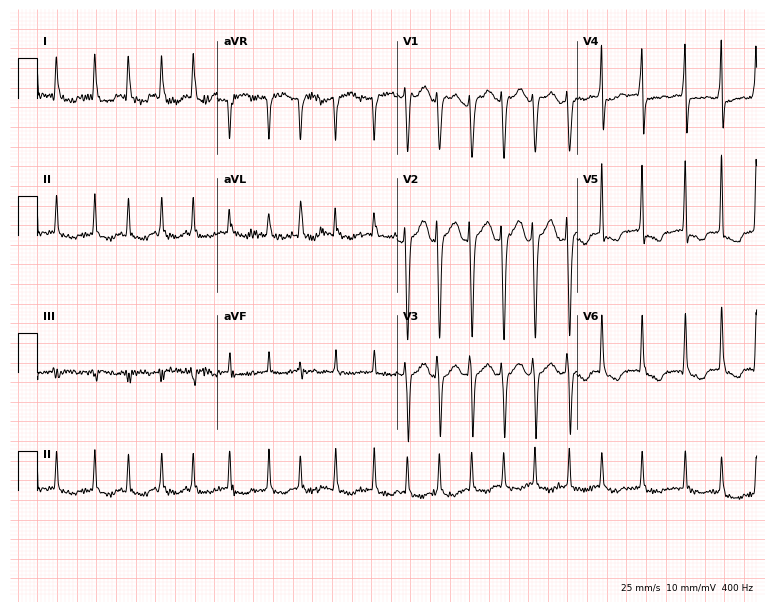
Resting 12-lead electrocardiogram (7.3-second recording at 400 Hz). Patient: a female, 80 years old. The tracing shows atrial fibrillation.